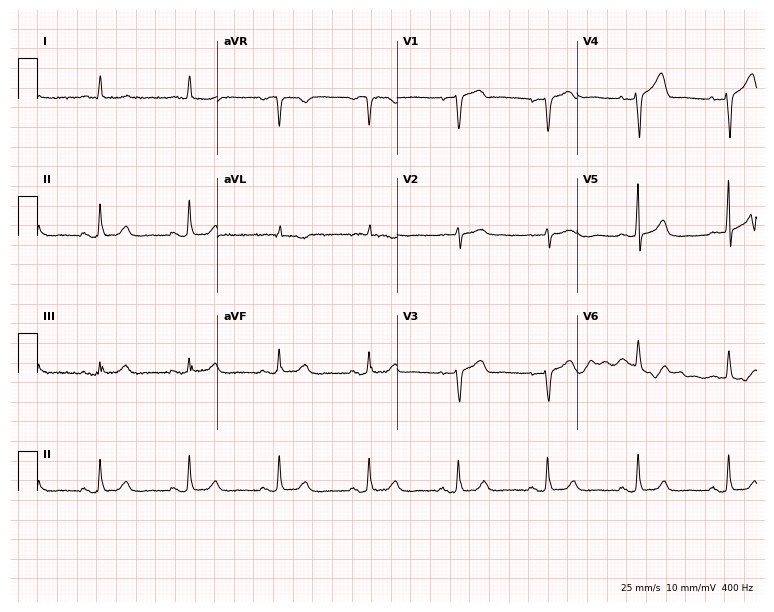
12-lead ECG from a 76-year-old male. Labelled as a normal ECG.